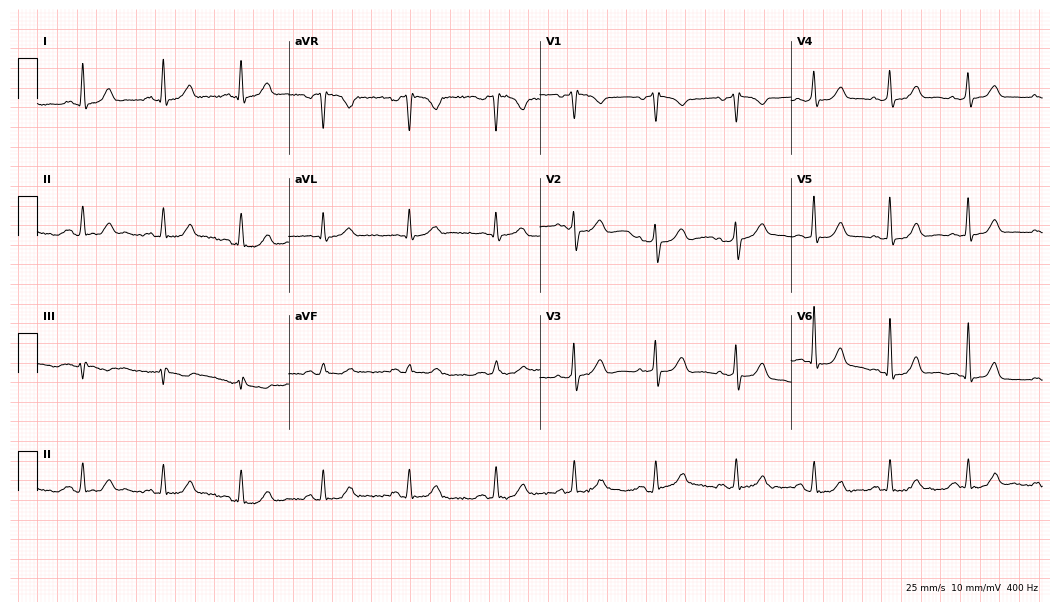
Standard 12-lead ECG recorded from a woman, 57 years old (10.2-second recording at 400 Hz). Read as a normal ECG.